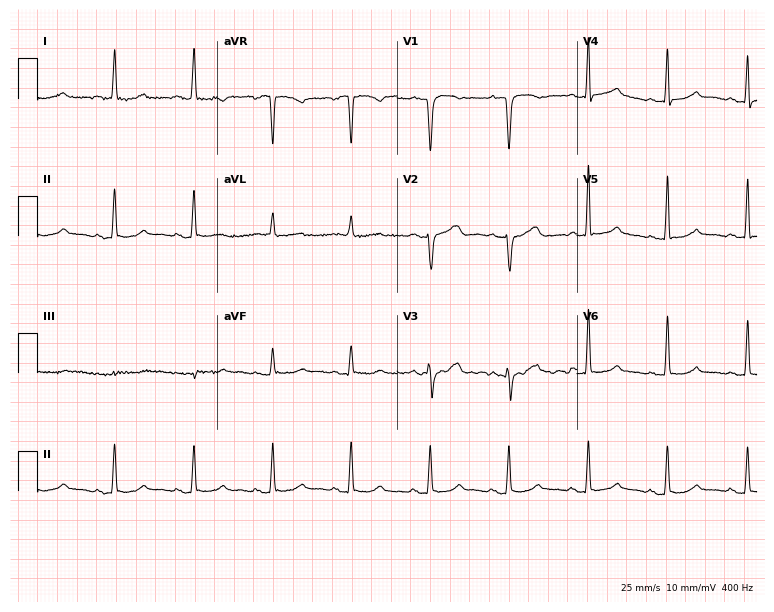
Resting 12-lead electrocardiogram. Patient: a 78-year-old female. None of these six findings is recorded: first-degree AV block, right bundle branch block, left bundle branch block, sinus bradycardia, atrial fibrillation, sinus tachycardia.